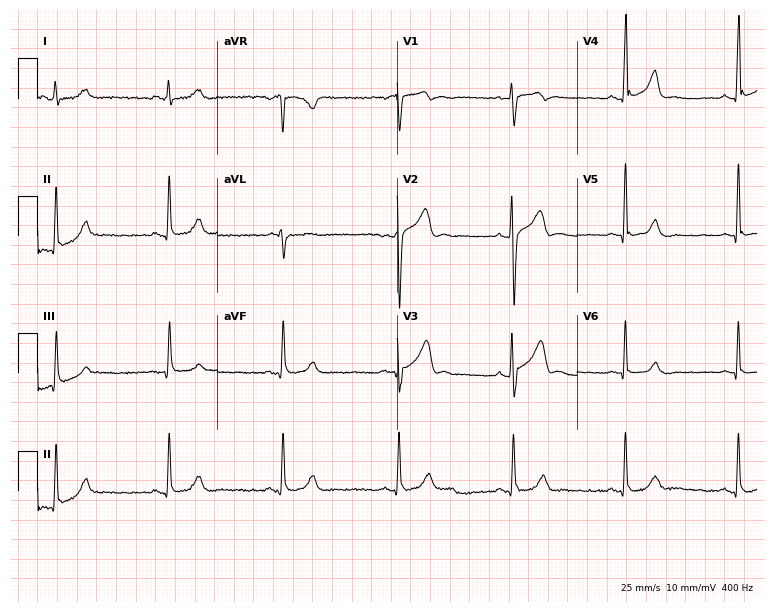
12-lead ECG (7.3-second recording at 400 Hz) from a 38-year-old male patient. Screened for six findings — first-degree AV block, right bundle branch block, left bundle branch block, sinus bradycardia, atrial fibrillation, sinus tachycardia — none is recorded. Other findings, if any, are not listed.